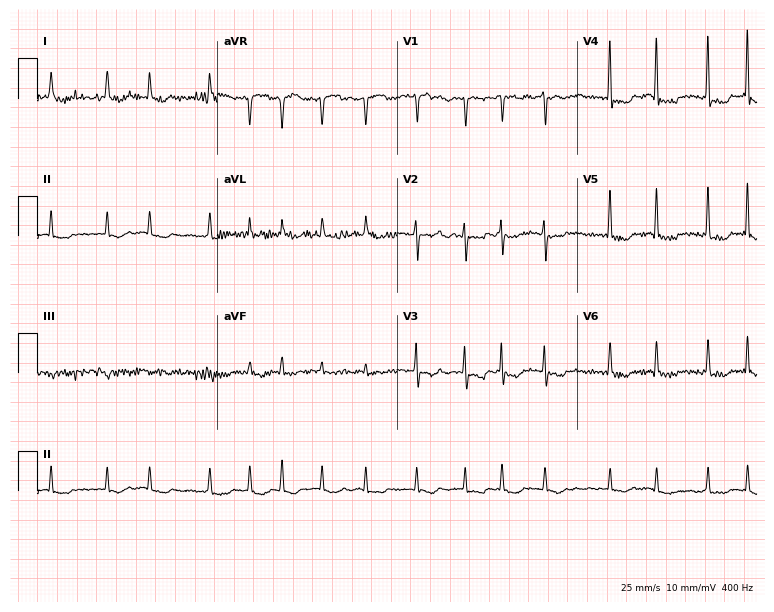
Standard 12-lead ECG recorded from a female patient, 76 years old. The tracing shows atrial fibrillation.